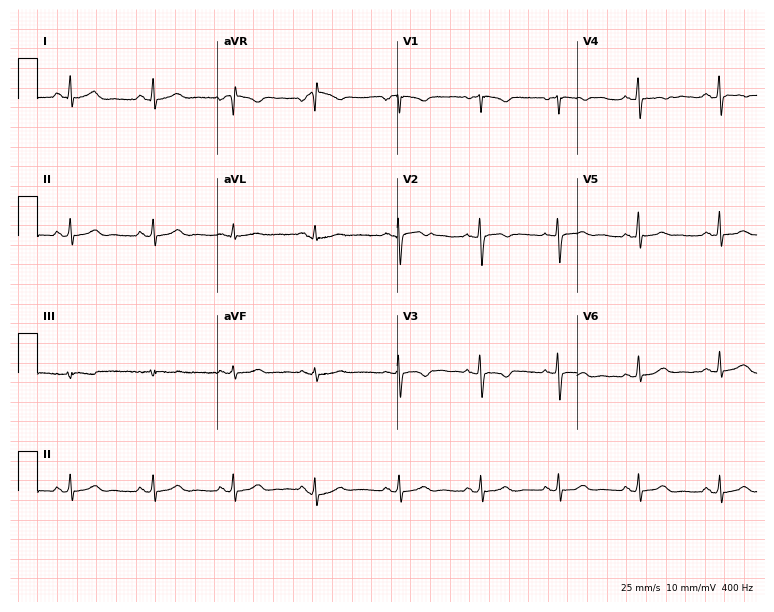
ECG (7.3-second recording at 400 Hz) — a 39-year-old female. Labelled as a normal ECG.